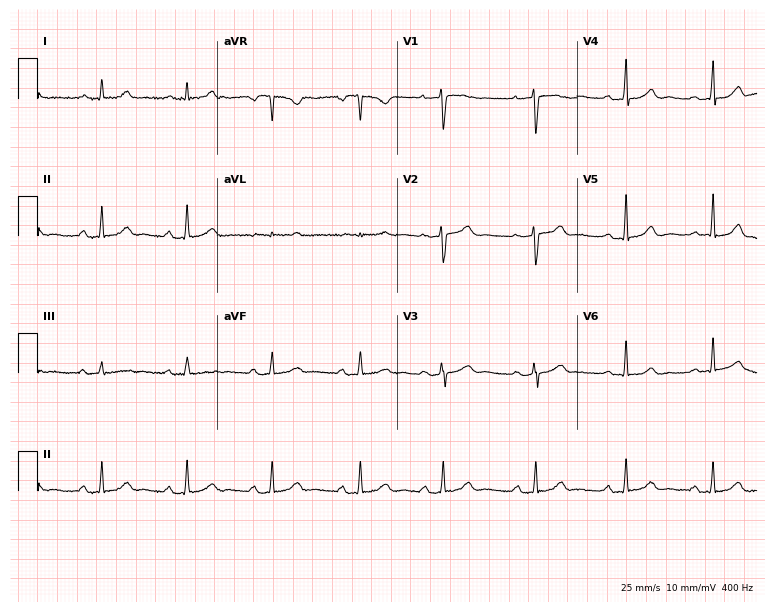
Standard 12-lead ECG recorded from a woman, 43 years old (7.3-second recording at 400 Hz). None of these six findings is recorded: first-degree AV block, right bundle branch block, left bundle branch block, sinus bradycardia, atrial fibrillation, sinus tachycardia. Findings outside these six are not listed.